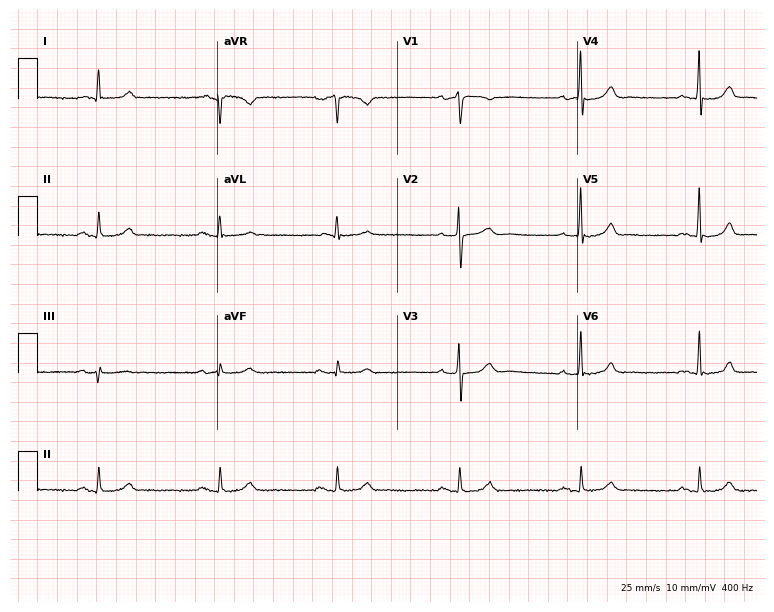
12-lead ECG from a 75-year-old male patient (7.3-second recording at 400 Hz). Shows sinus bradycardia (a sinus rate of 50 beats per minute or less).